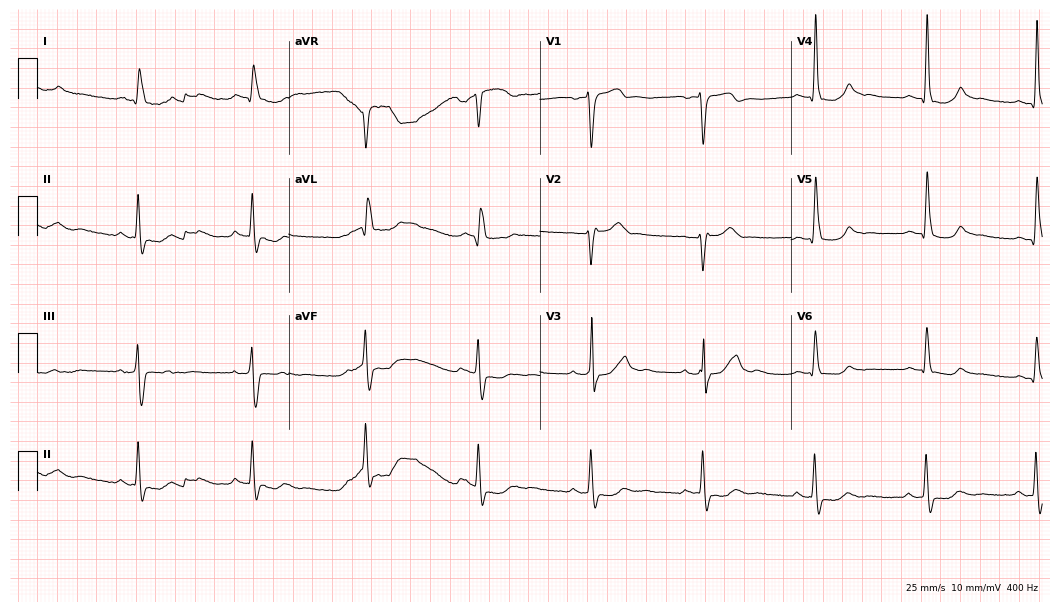
12-lead ECG (10.2-second recording at 400 Hz) from a man, 70 years old. Screened for six findings — first-degree AV block, right bundle branch block, left bundle branch block, sinus bradycardia, atrial fibrillation, sinus tachycardia — none is recorded. Other findings, if any, are not listed.